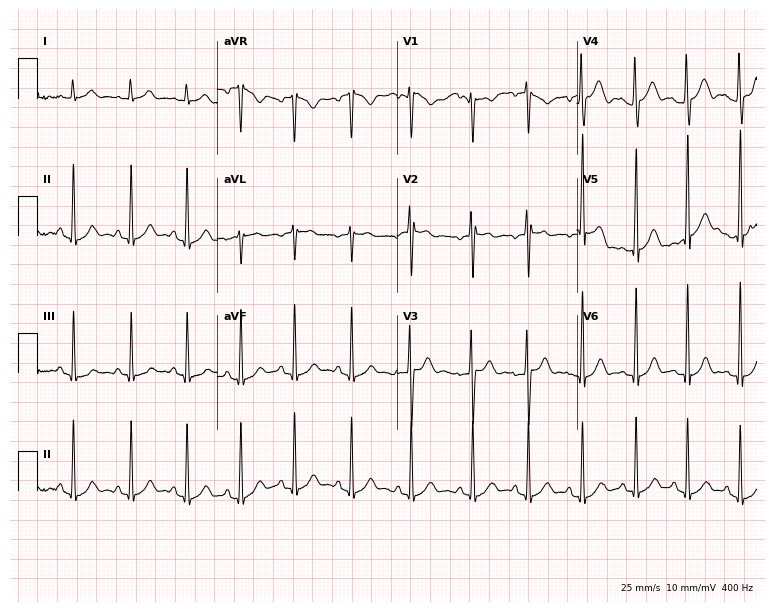
Standard 12-lead ECG recorded from a 17-year-old man (7.3-second recording at 400 Hz). The tracing shows sinus tachycardia (a sinus rate of 100 beats per minute or more).